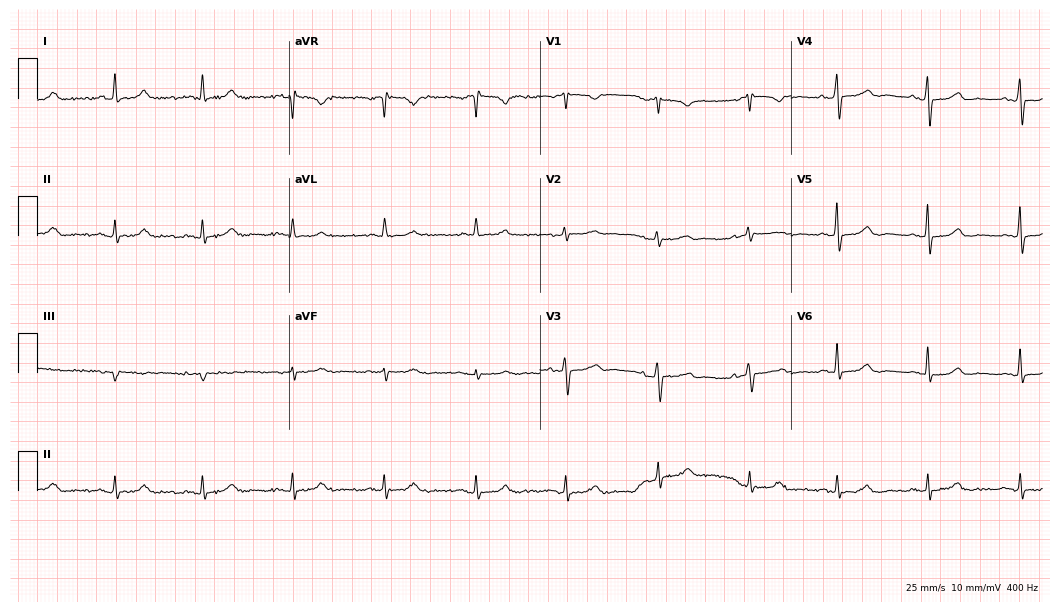
12-lead ECG (10.2-second recording at 400 Hz) from a female patient, 55 years old. Labelled as a normal ECG.